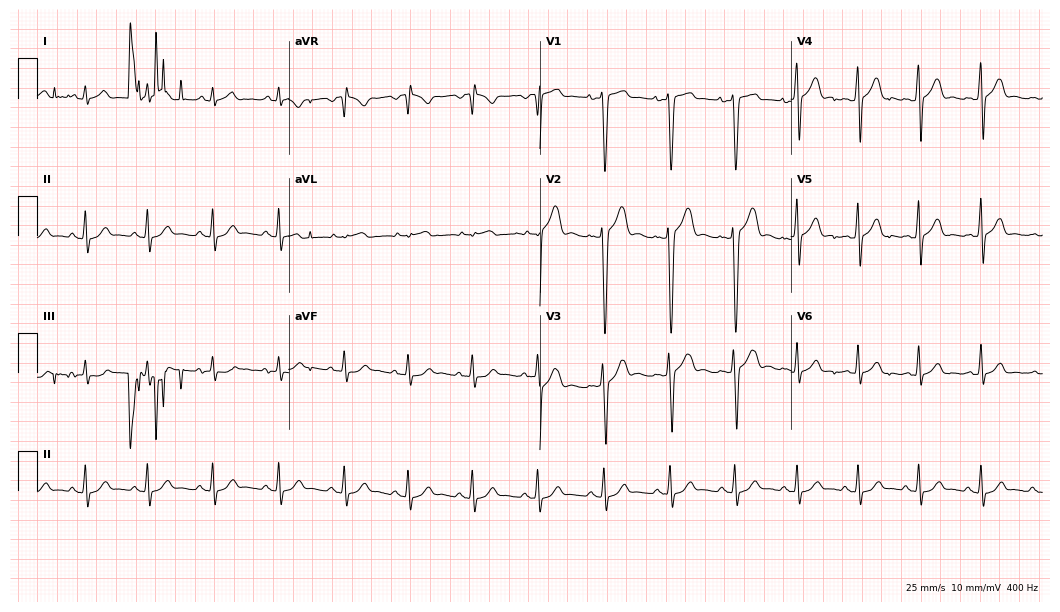
Resting 12-lead electrocardiogram. Patient: a 21-year-old man. None of these six findings is recorded: first-degree AV block, right bundle branch block, left bundle branch block, sinus bradycardia, atrial fibrillation, sinus tachycardia. Other findings, if any, are not listed.